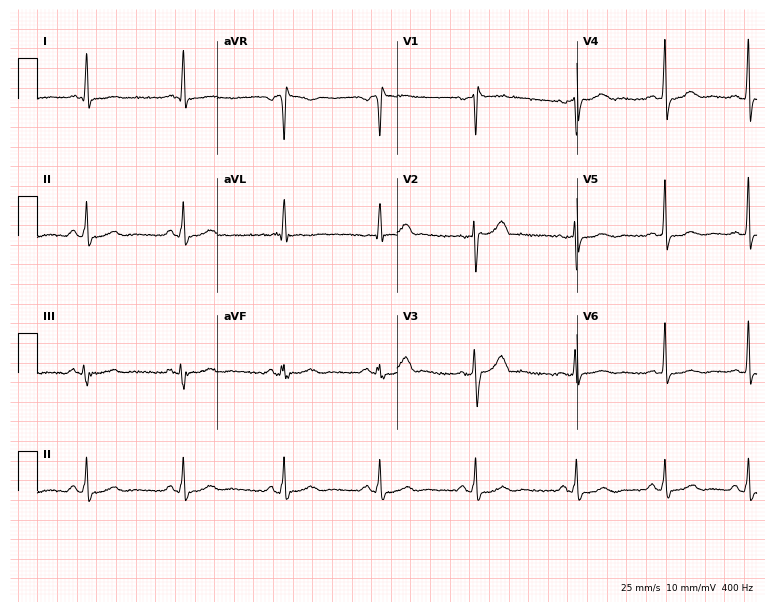
ECG — a 32-year-old woman. Screened for six findings — first-degree AV block, right bundle branch block, left bundle branch block, sinus bradycardia, atrial fibrillation, sinus tachycardia — none is recorded. Other findings, if any, are not listed.